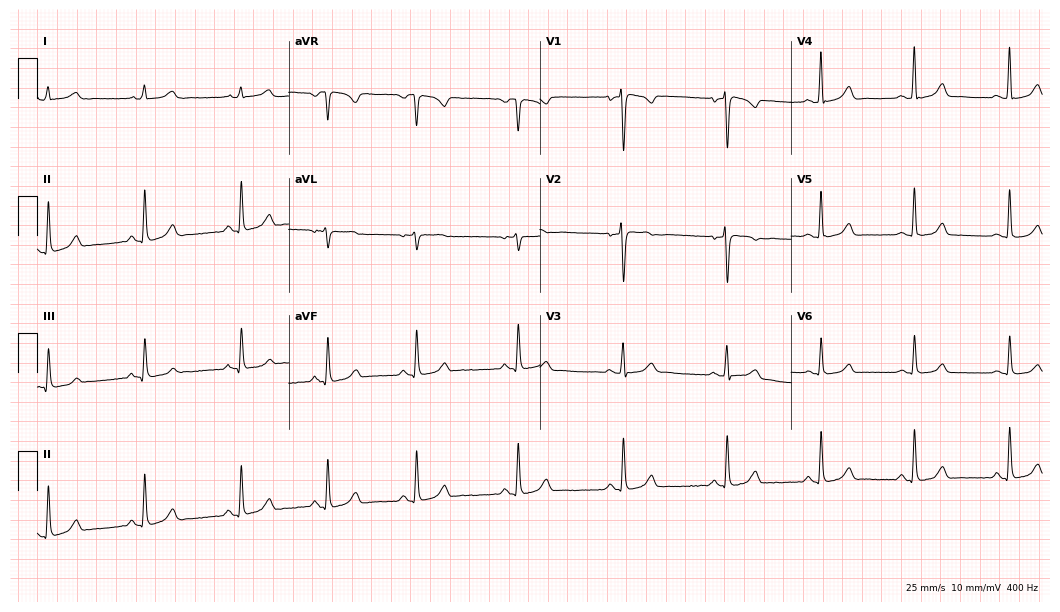
ECG (10.2-second recording at 400 Hz) — a female, 30 years old. Screened for six findings — first-degree AV block, right bundle branch block, left bundle branch block, sinus bradycardia, atrial fibrillation, sinus tachycardia — none is recorded.